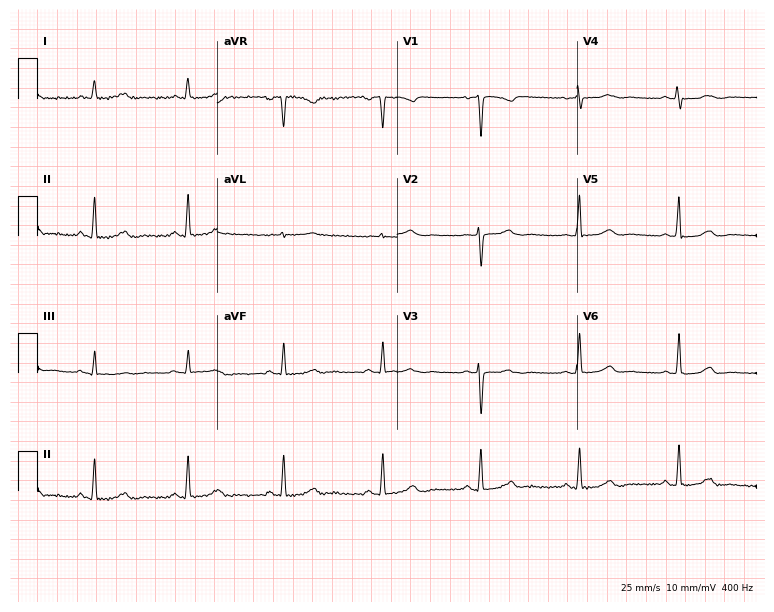
Resting 12-lead electrocardiogram. Patient: a 41-year-old female. None of these six findings is recorded: first-degree AV block, right bundle branch block, left bundle branch block, sinus bradycardia, atrial fibrillation, sinus tachycardia.